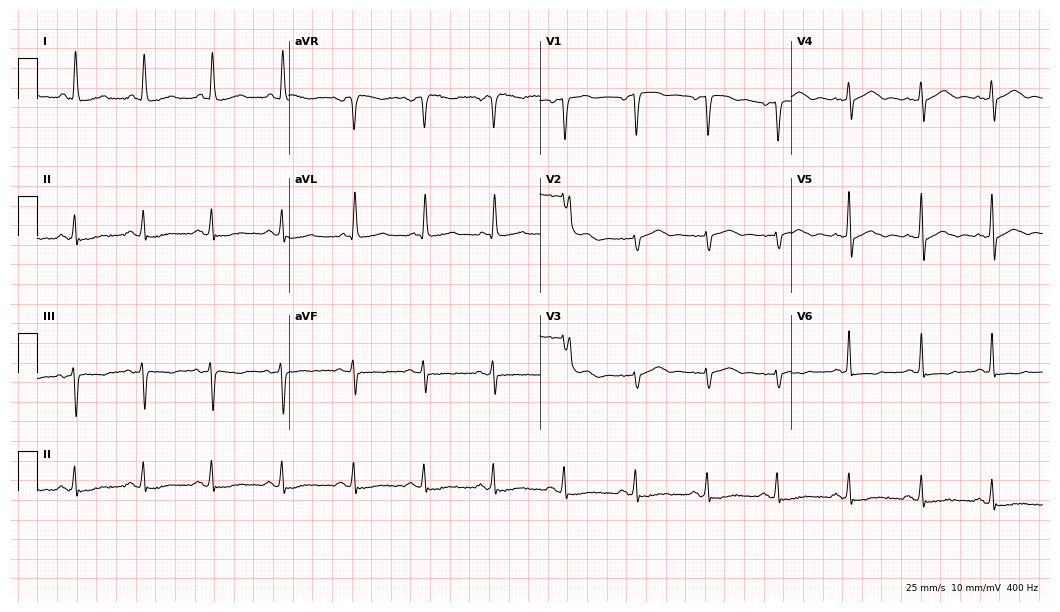
Electrocardiogram (10.2-second recording at 400 Hz), a 79-year-old woman. Of the six screened findings (first-degree AV block, right bundle branch block, left bundle branch block, sinus bradycardia, atrial fibrillation, sinus tachycardia), none is recorded.